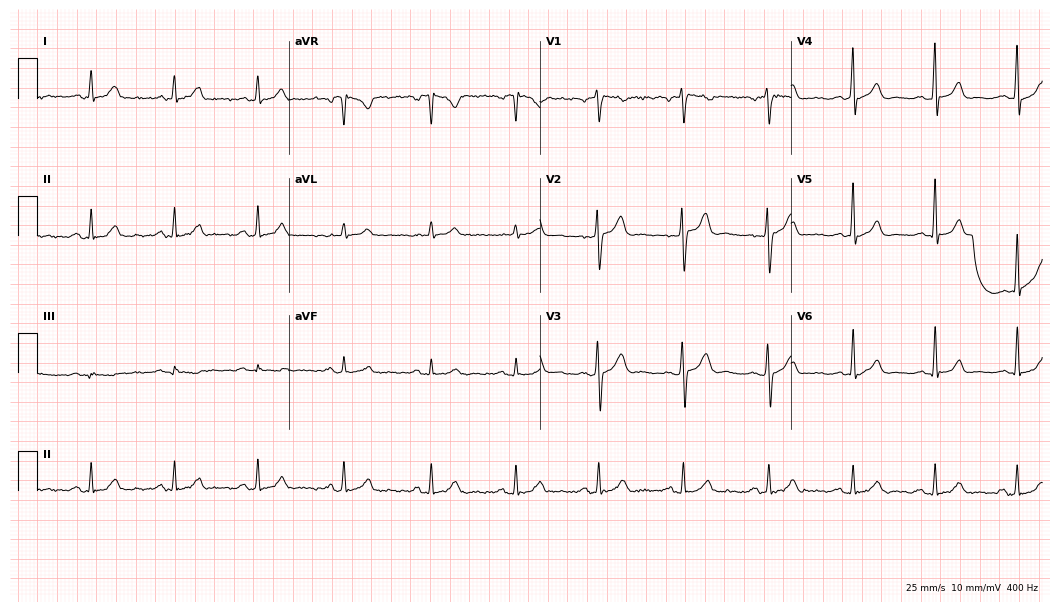
12-lead ECG (10.2-second recording at 400 Hz) from a 32-year-old male. Labelled as a normal ECG.